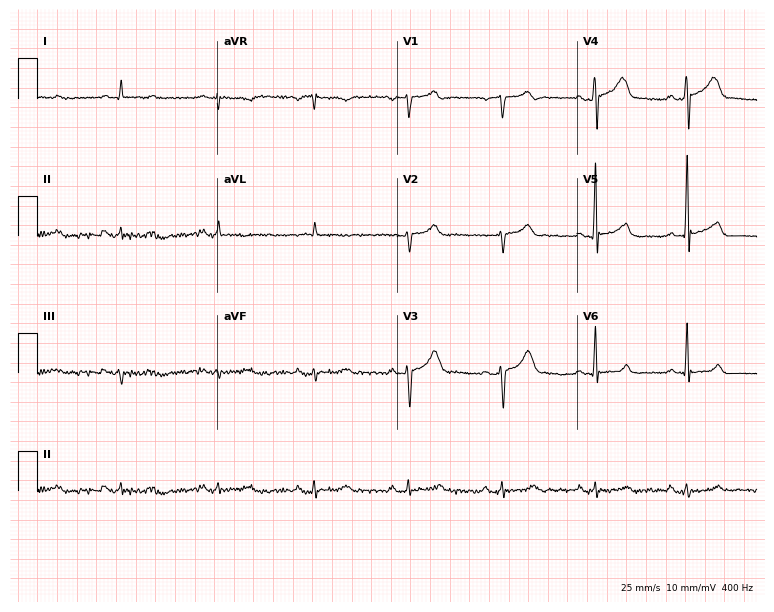
Electrocardiogram (7.3-second recording at 400 Hz), a man, 52 years old. Overall reading on record: normal ECG.